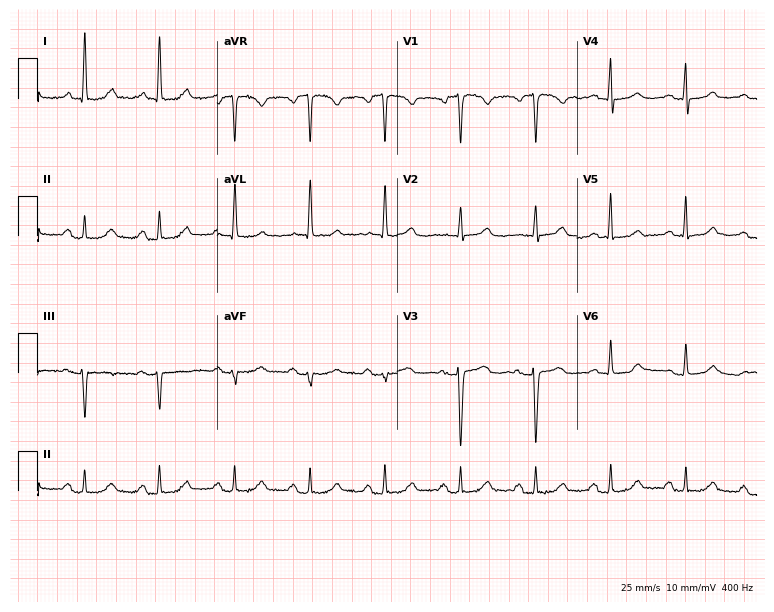
ECG — a 65-year-old female patient. Screened for six findings — first-degree AV block, right bundle branch block, left bundle branch block, sinus bradycardia, atrial fibrillation, sinus tachycardia — none is recorded.